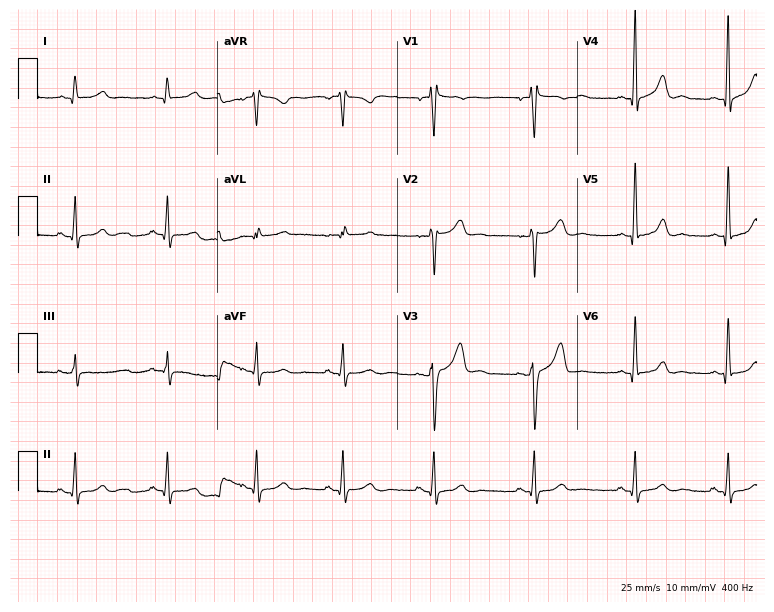
12-lead ECG from a male, 32 years old (7.3-second recording at 400 Hz). Recorded interpretation: within normal limits.